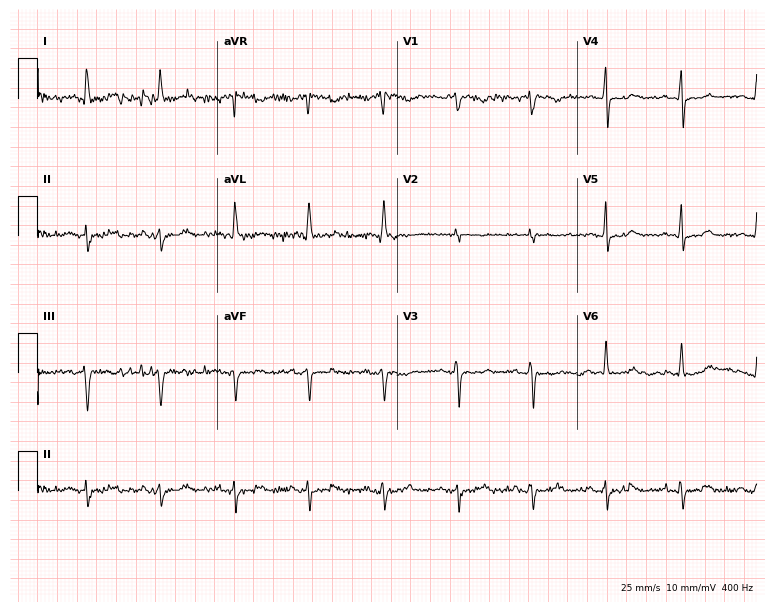
12-lead ECG from a 58-year-old woman (7.3-second recording at 400 Hz). No first-degree AV block, right bundle branch block, left bundle branch block, sinus bradycardia, atrial fibrillation or sinus tachycardia recorded for this tracing. Findings outside these six are not listed.